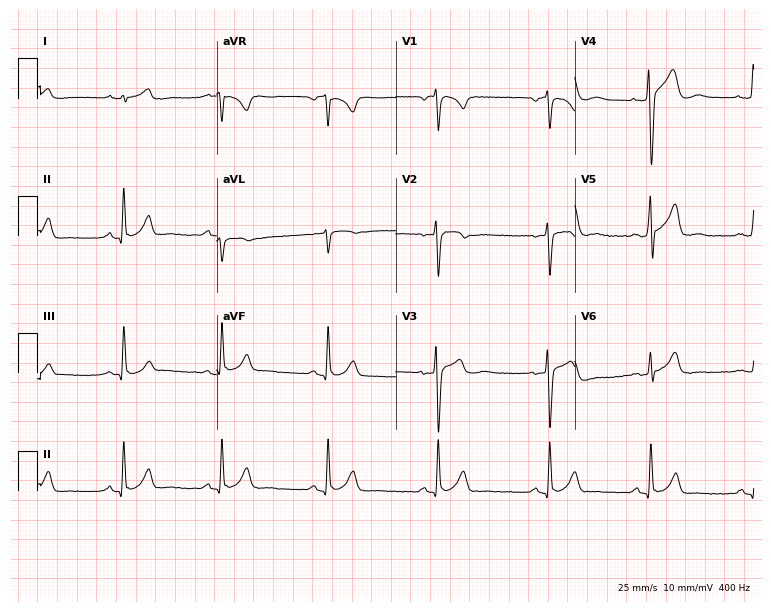
ECG (7.3-second recording at 400 Hz) — a male, 19 years old. Labelled as a normal ECG.